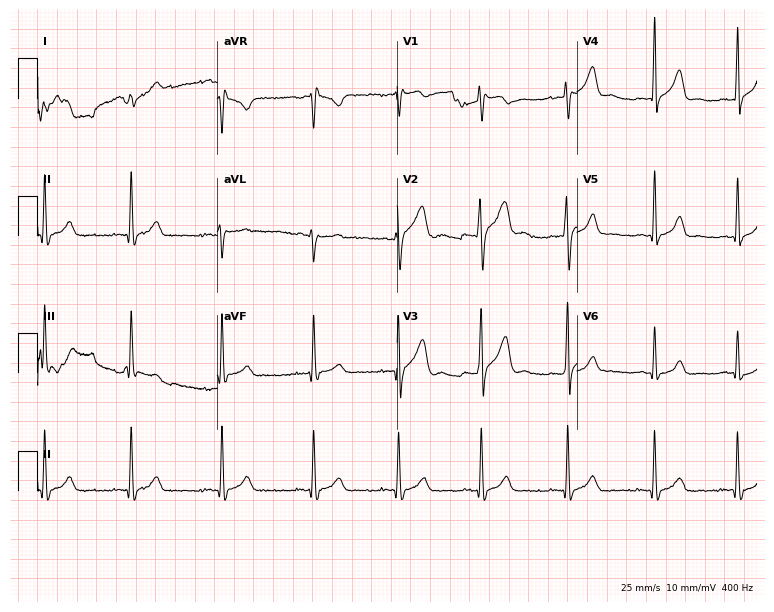
Resting 12-lead electrocardiogram (7.3-second recording at 400 Hz). Patient: a 25-year-old male. Read as a normal ECG.